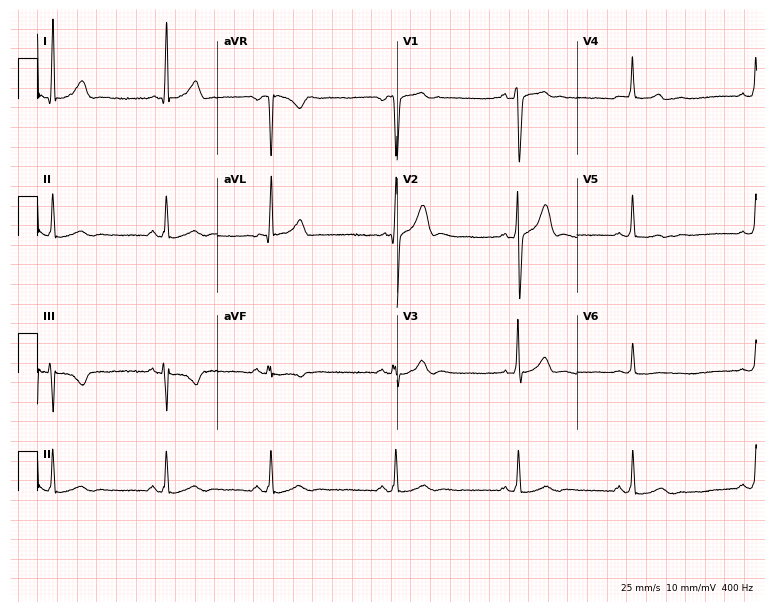
12-lead ECG from a male, 28 years old. Shows sinus bradycardia (a sinus rate of 50 beats per minute or less).